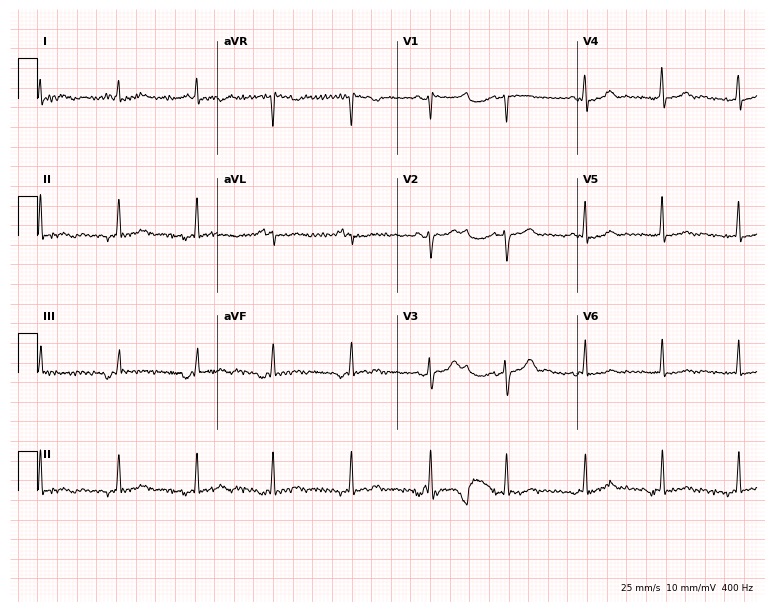
12-lead ECG from a 64-year-old female (7.3-second recording at 400 Hz). No first-degree AV block, right bundle branch block (RBBB), left bundle branch block (LBBB), sinus bradycardia, atrial fibrillation (AF) or sinus tachycardia recorded for this tracing.